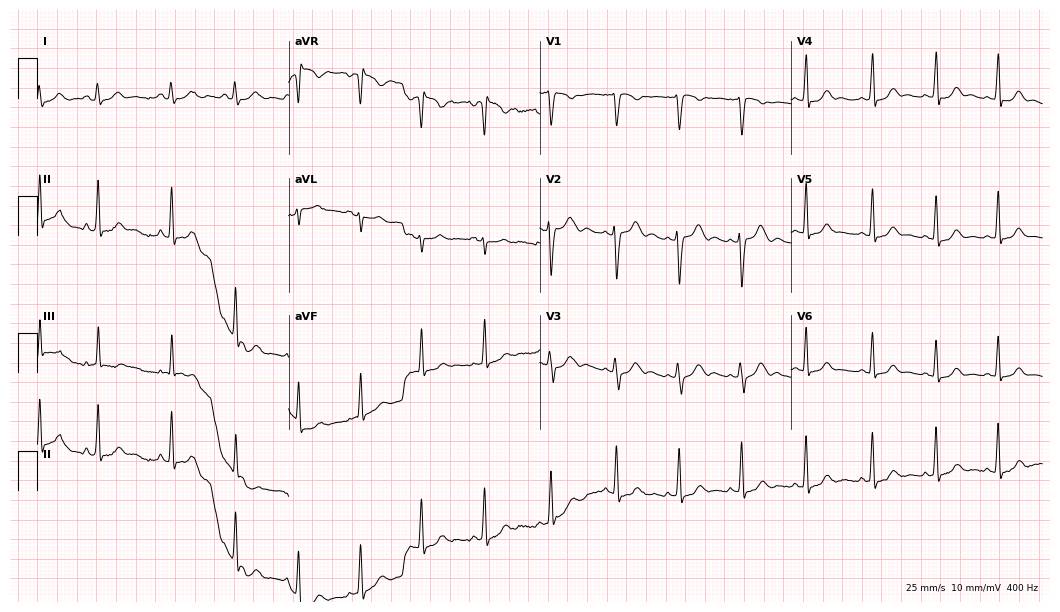
12-lead ECG (10.2-second recording at 400 Hz) from a 20-year-old female patient. Labelled as a normal ECG.